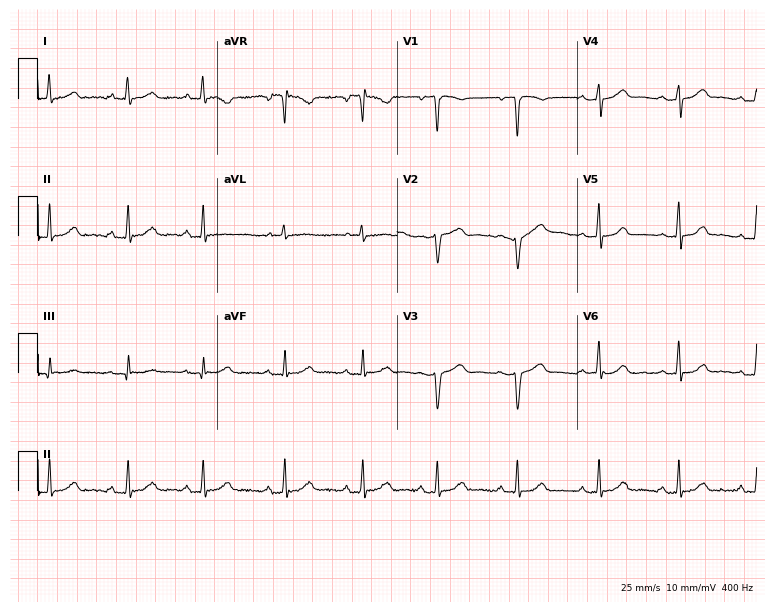
Standard 12-lead ECG recorded from a 46-year-old female. Read as a normal ECG.